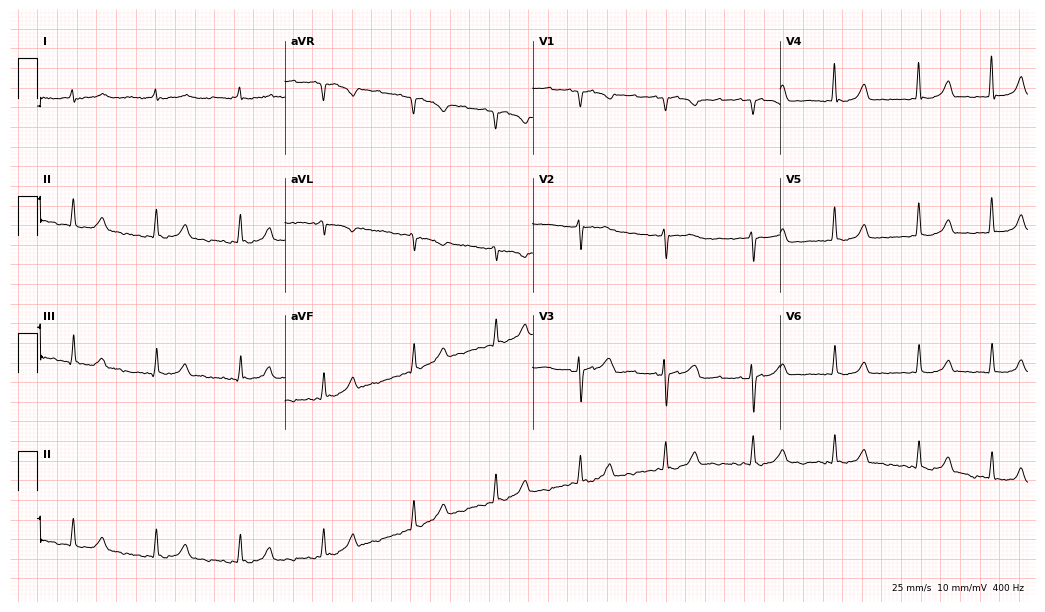
Electrocardiogram, a 68-year-old female patient. Interpretation includes atrial fibrillation.